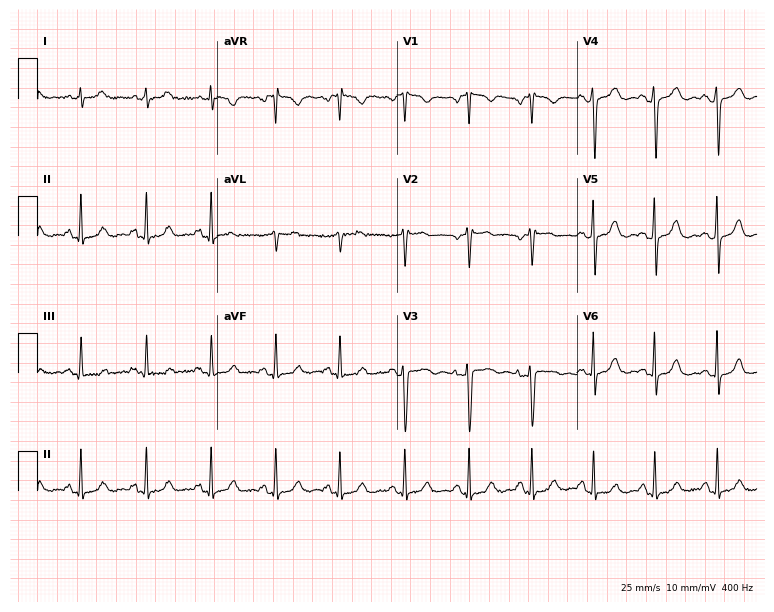
12-lead ECG (7.3-second recording at 400 Hz) from a woman, 70 years old. Labelled as a normal ECG.